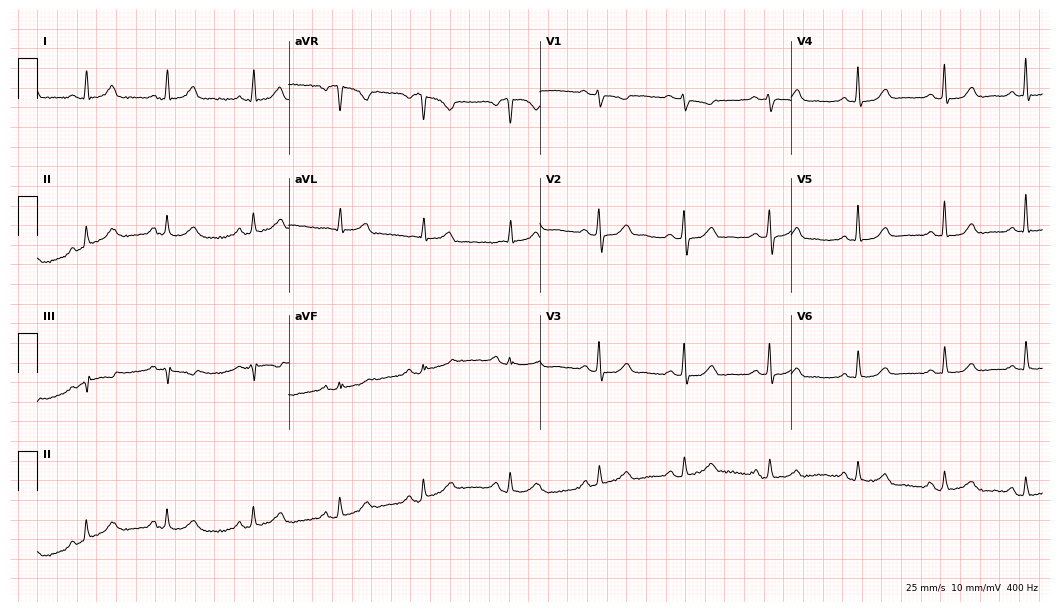
Electrocardiogram, a female, 52 years old. Overall reading on record: normal ECG.